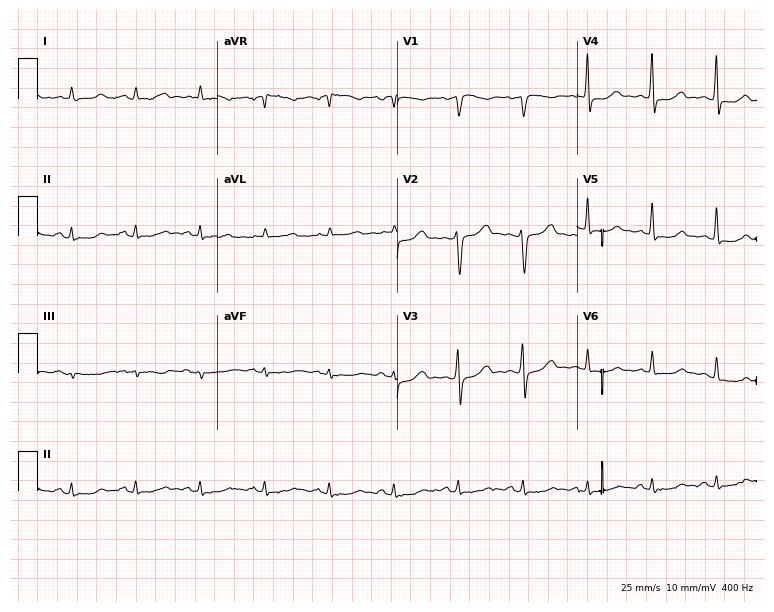
Standard 12-lead ECG recorded from a male, 56 years old. None of these six findings is recorded: first-degree AV block, right bundle branch block, left bundle branch block, sinus bradycardia, atrial fibrillation, sinus tachycardia. Findings outside these six are not listed.